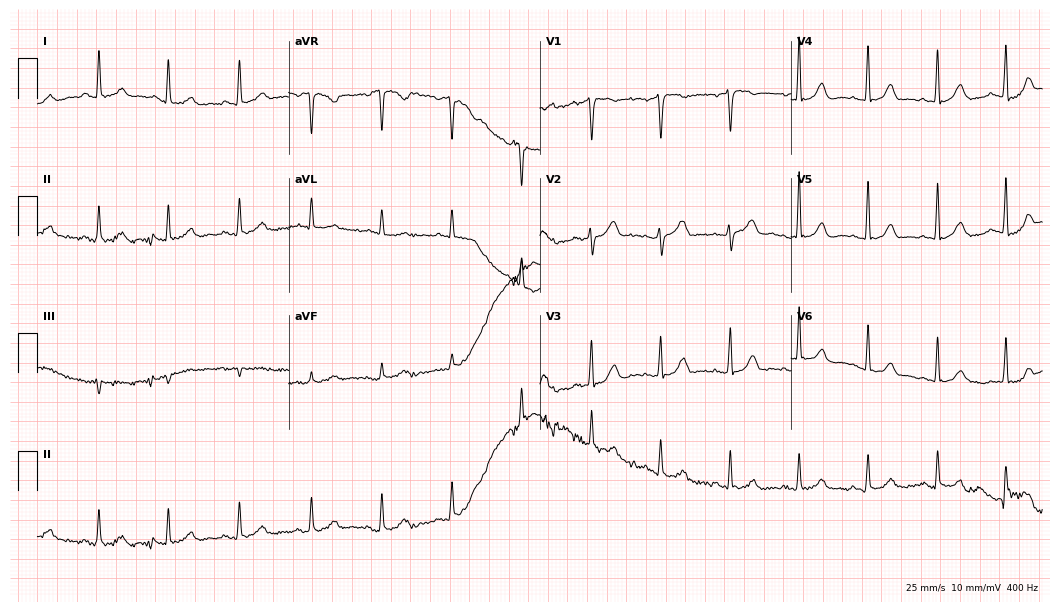
12-lead ECG from a 79-year-old female (10.2-second recording at 400 Hz). Recorded interpretation: within normal limits.